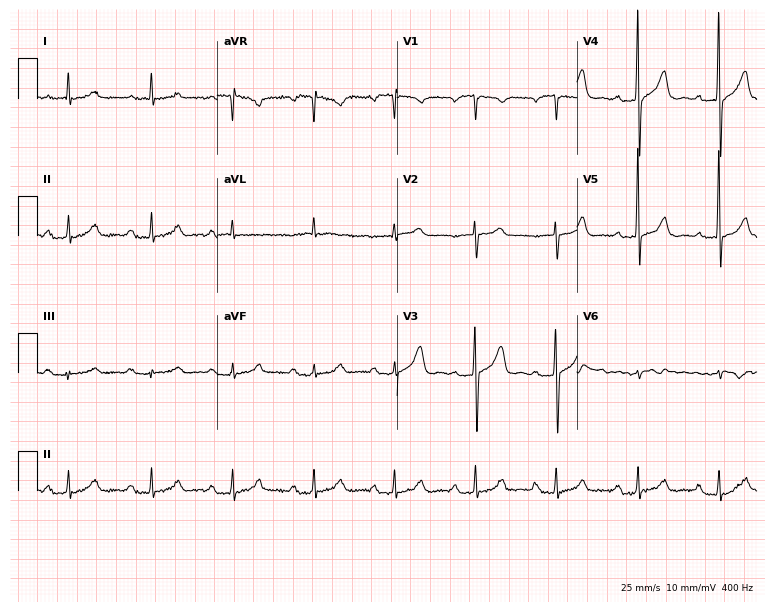
Electrocardiogram, an 84-year-old male patient. Of the six screened findings (first-degree AV block, right bundle branch block, left bundle branch block, sinus bradycardia, atrial fibrillation, sinus tachycardia), none is recorded.